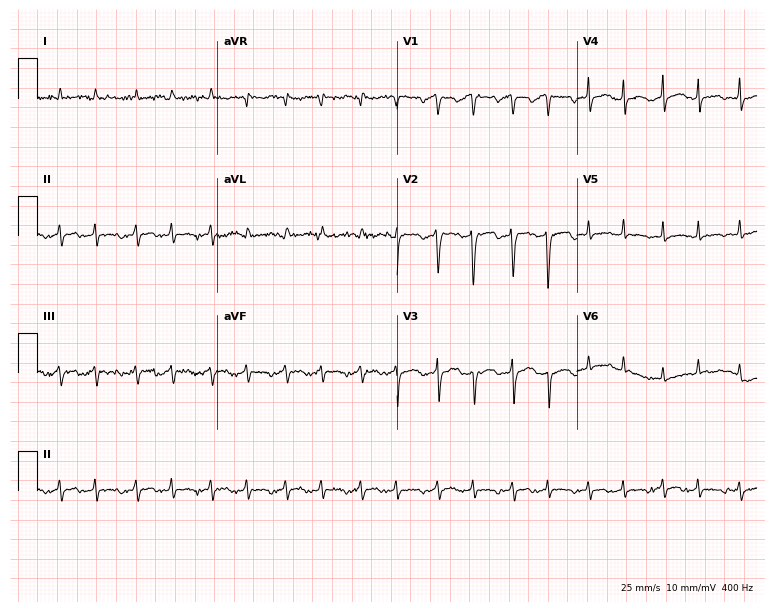
Electrocardiogram, a 53-year-old man. Interpretation includes atrial fibrillation (AF).